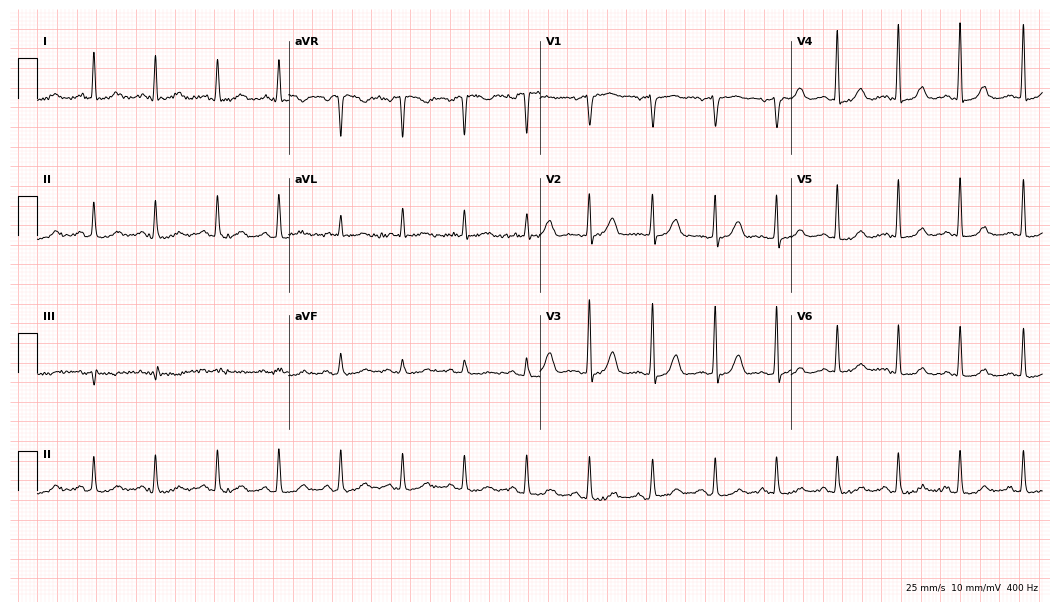
12-lead ECG (10.2-second recording at 400 Hz) from a female, 59 years old. Labelled as a normal ECG.